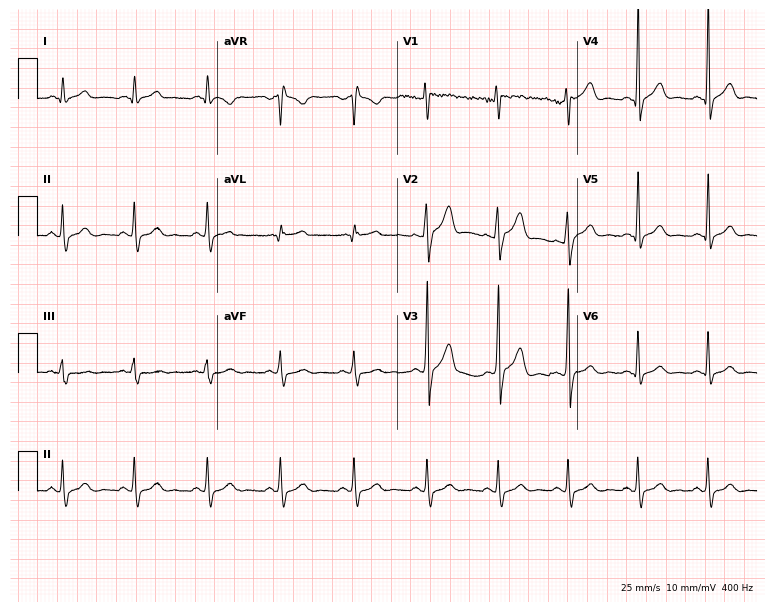
Resting 12-lead electrocardiogram. Patient: a man, 38 years old. None of these six findings is recorded: first-degree AV block, right bundle branch block (RBBB), left bundle branch block (LBBB), sinus bradycardia, atrial fibrillation (AF), sinus tachycardia.